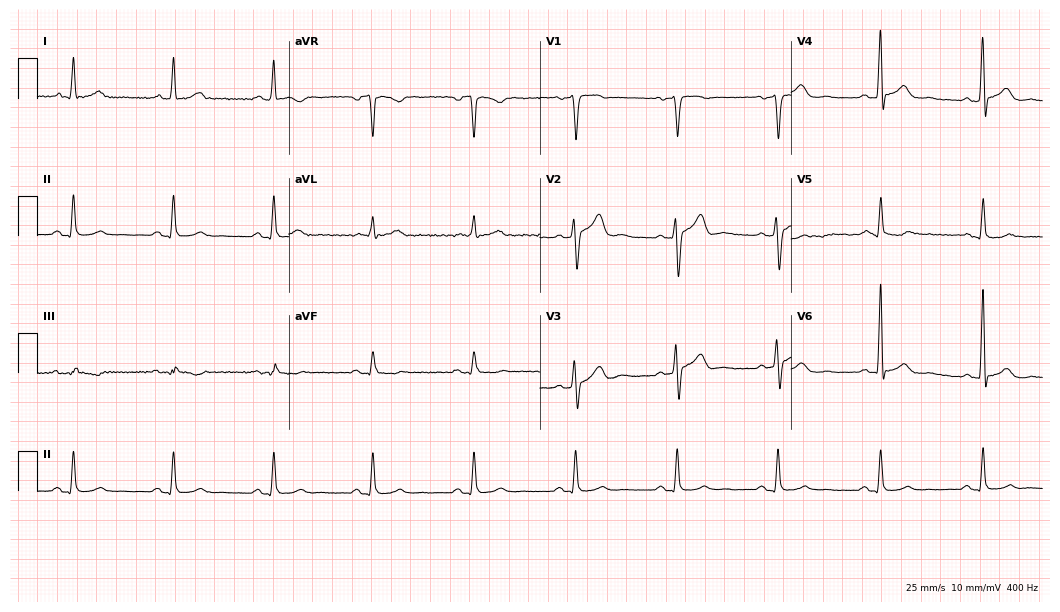
ECG (10.2-second recording at 400 Hz) — a male patient, 61 years old. Labelled as a normal ECG.